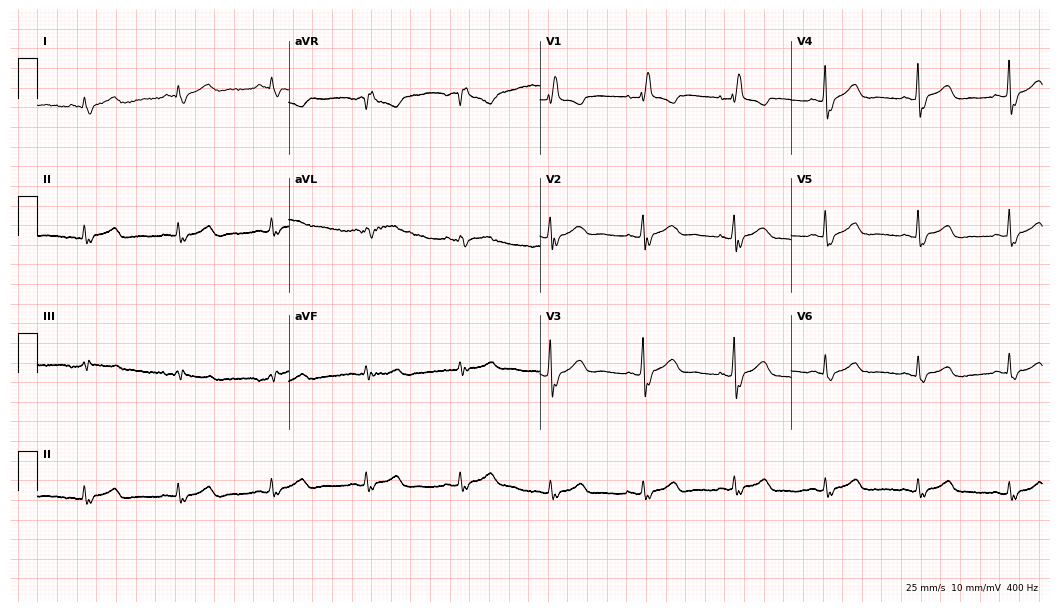
12-lead ECG from a female, 71 years old (10.2-second recording at 400 Hz). Shows right bundle branch block.